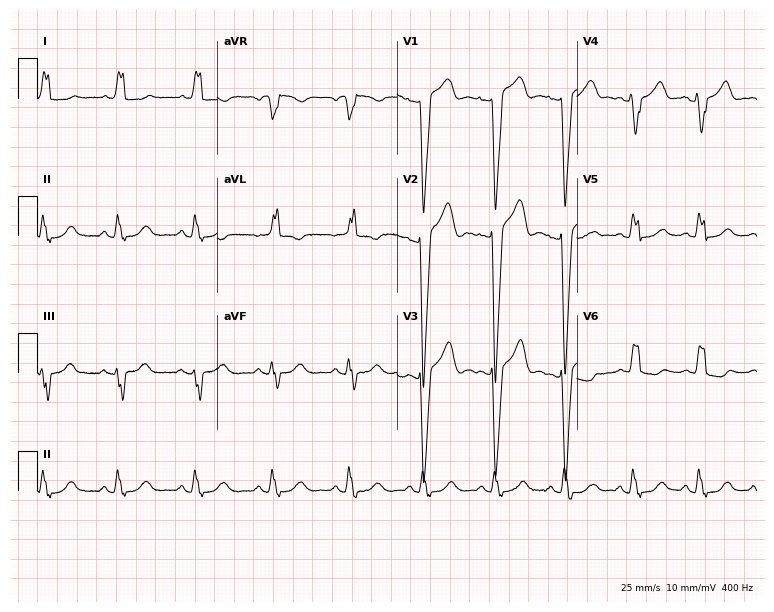
Electrocardiogram (7.3-second recording at 400 Hz), a 40-year-old female. Interpretation includes left bundle branch block.